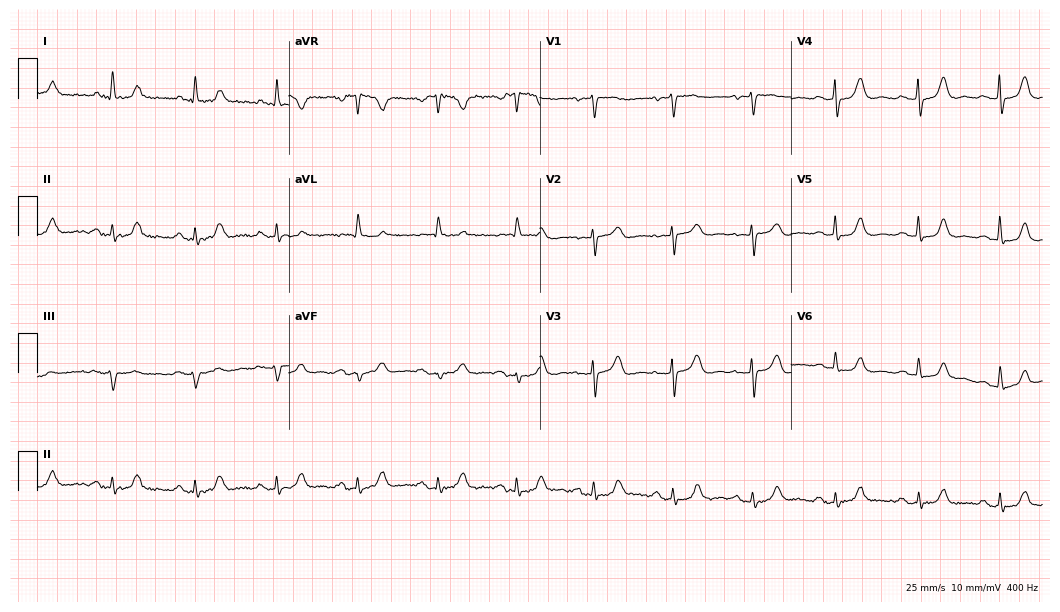
12-lead ECG from a 79-year-old woman. Labelled as a normal ECG.